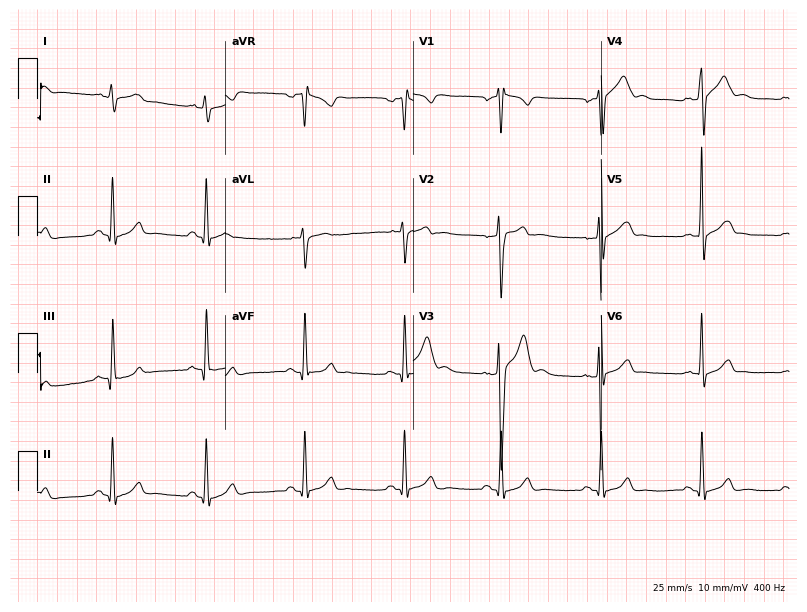
Standard 12-lead ECG recorded from a male patient, 22 years old. None of these six findings is recorded: first-degree AV block, right bundle branch block (RBBB), left bundle branch block (LBBB), sinus bradycardia, atrial fibrillation (AF), sinus tachycardia. Other findings, if any, are not listed.